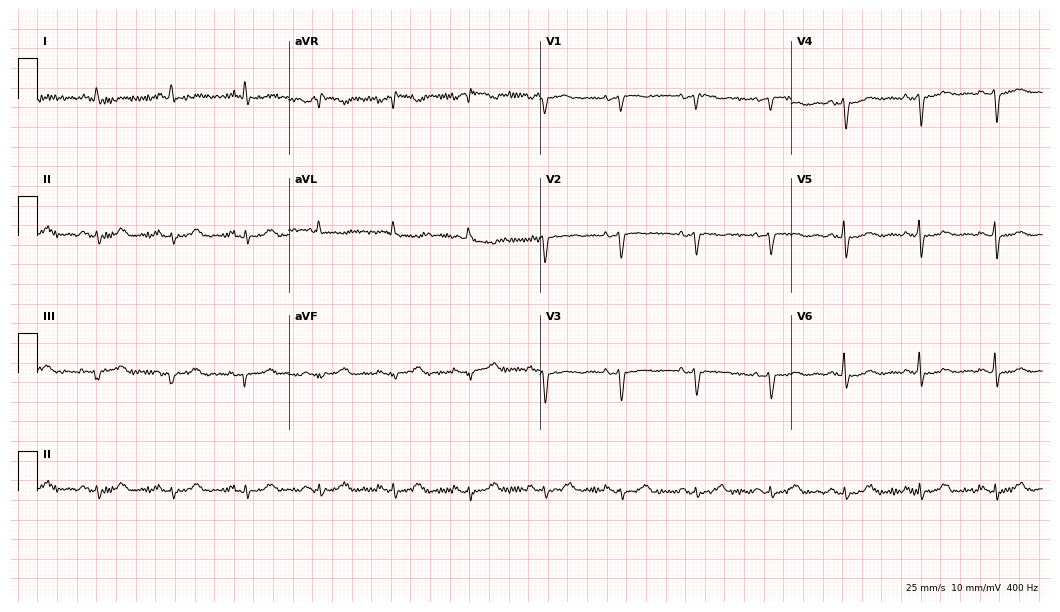
Standard 12-lead ECG recorded from a female patient, 76 years old. None of these six findings is recorded: first-degree AV block, right bundle branch block, left bundle branch block, sinus bradycardia, atrial fibrillation, sinus tachycardia.